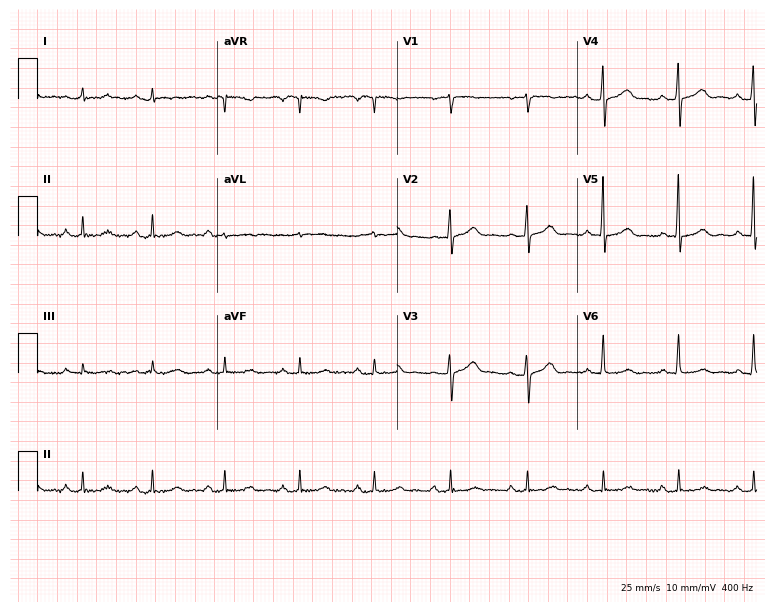
Standard 12-lead ECG recorded from a female patient, 44 years old. None of these six findings is recorded: first-degree AV block, right bundle branch block (RBBB), left bundle branch block (LBBB), sinus bradycardia, atrial fibrillation (AF), sinus tachycardia.